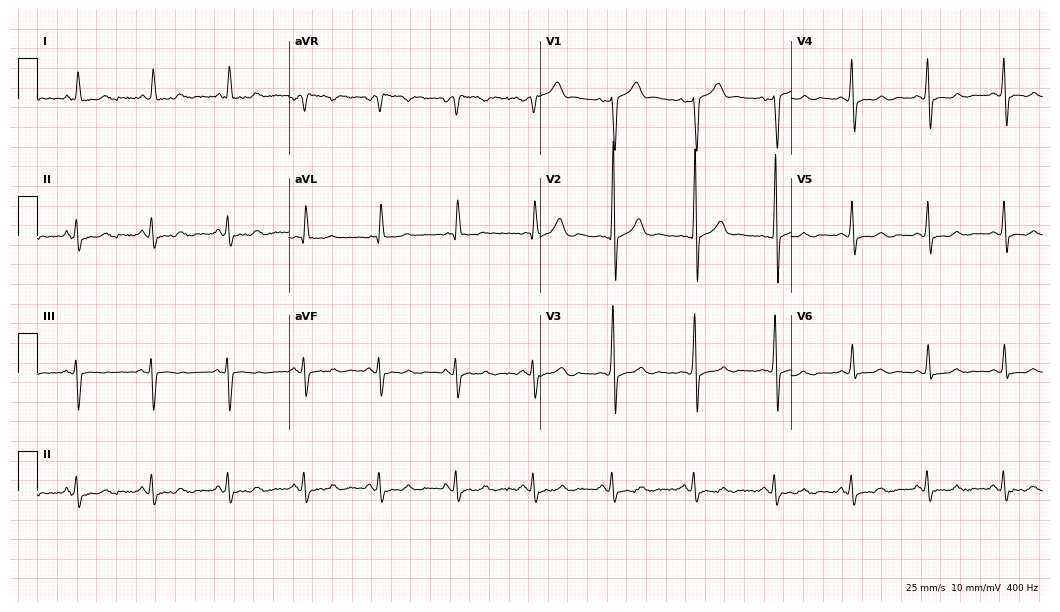
12-lead ECG from a 43-year-old man. Screened for six findings — first-degree AV block, right bundle branch block, left bundle branch block, sinus bradycardia, atrial fibrillation, sinus tachycardia — none is recorded.